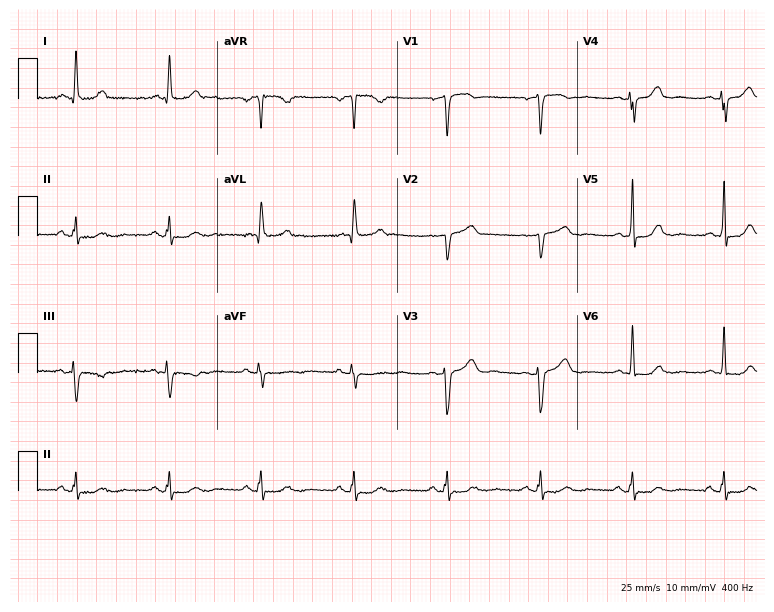
ECG (7.3-second recording at 400 Hz) — a female, 62 years old. Labelled as a normal ECG.